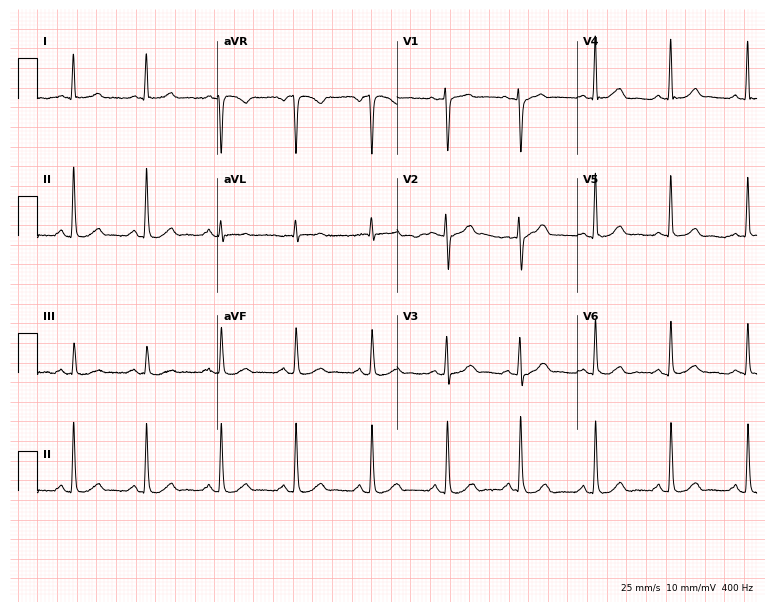
Resting 12-lead electrocardiogram. Patient: a 66-year-old woman. Read as a normal ECG.